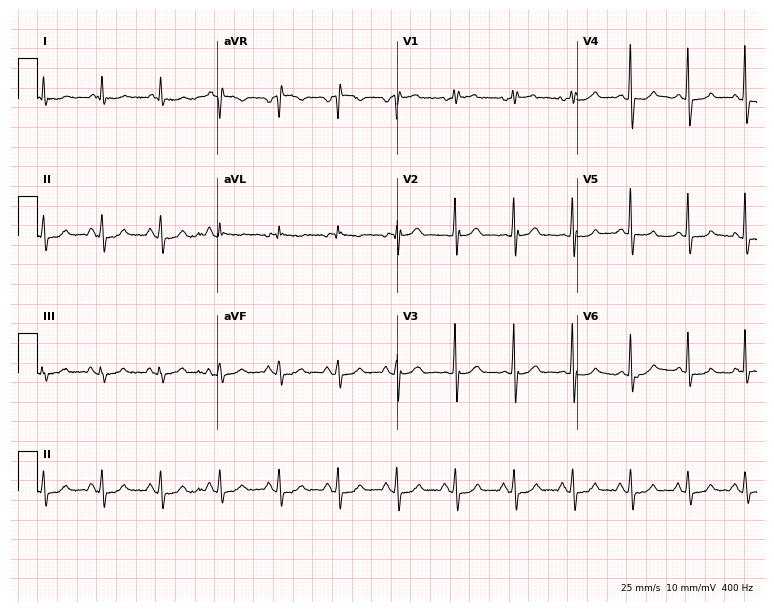
Electrocardiogram, a 74-year-old male. Of the six screened findings (first-degree AV block, right bundle branch block, left bundle branch block, sinus bradycardia, atrial fibrillation, sinus tachycardia), none is recorded.